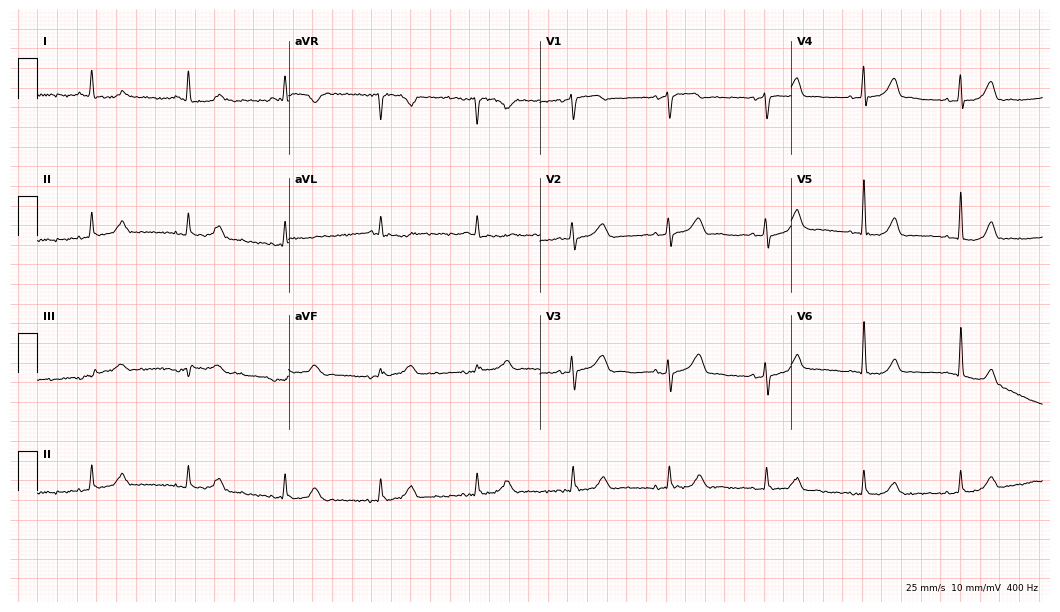
Resting 12-lead electrocardiogram. Patient: a 61-year-old female. Read as a normal ECG.